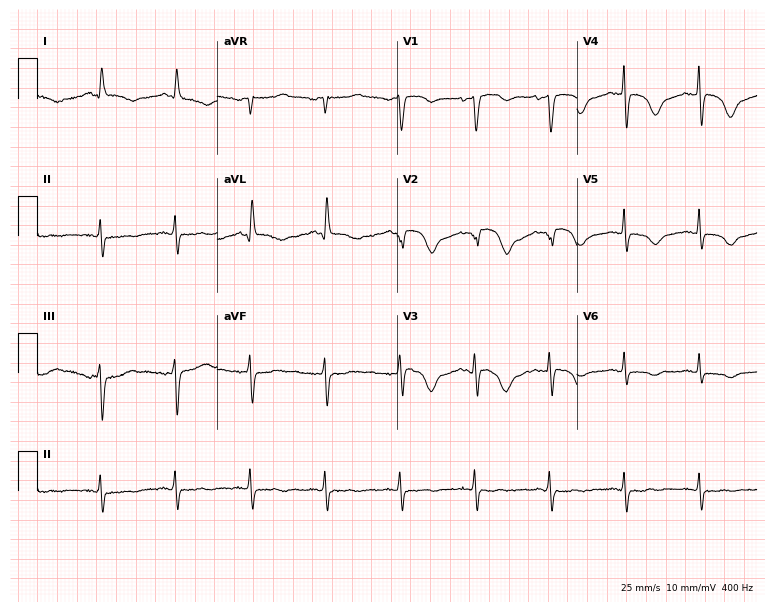
ECG (7.3-second recording at 400 Hz) — a 79-year-old female patient. Screened for six findings — first-degree AV block, right bundle branch block (RBBB), left bundle branch block (LBBB), sinus bradycardia, atrial fibrillation (AF), sinus tachycardia — none is recorded.